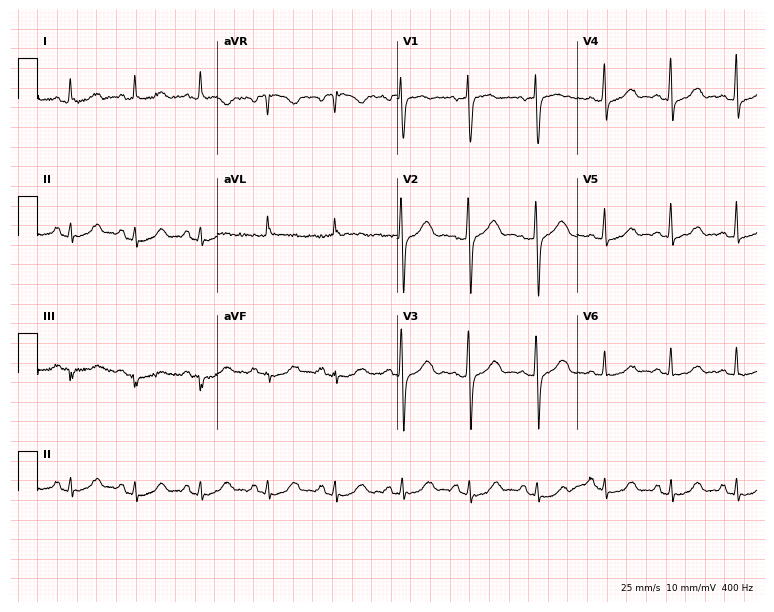
Standard 12-lead ECG recorded from a woman, 68 years old (7.3-second recording at 400 Hz). None of these six findings is recorded: first-degree AV block, right bundle branch block, left bundle branch block, sinus bradycardia, atrial fibrillation, sinus tachycardia. Findings outside these six are not listed.